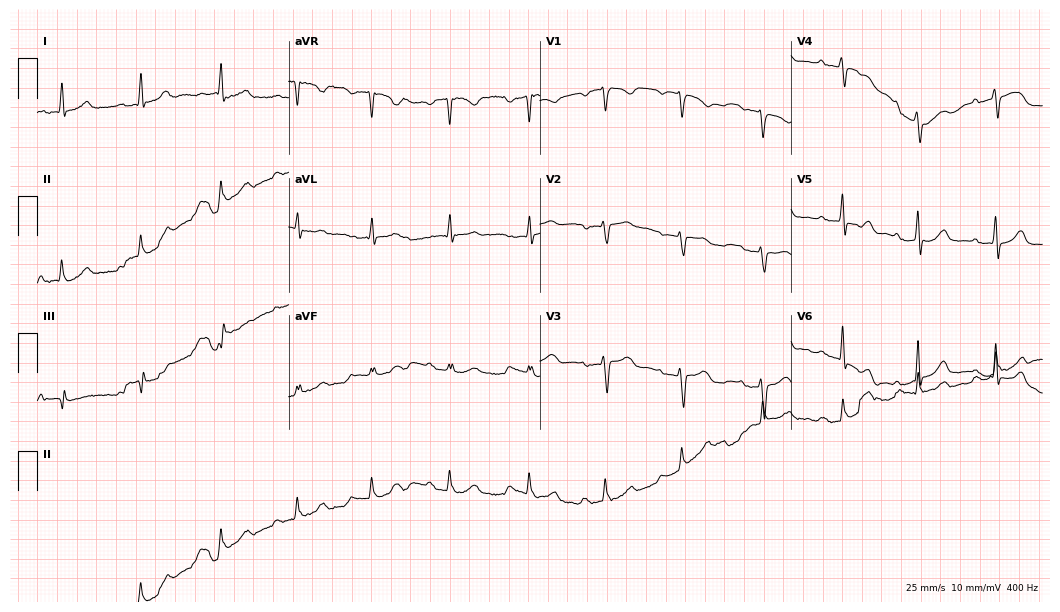
12-lead ECG from a woman, 52 years old (10.2-second recording at 400 Hz). Shows first-degree AV block.